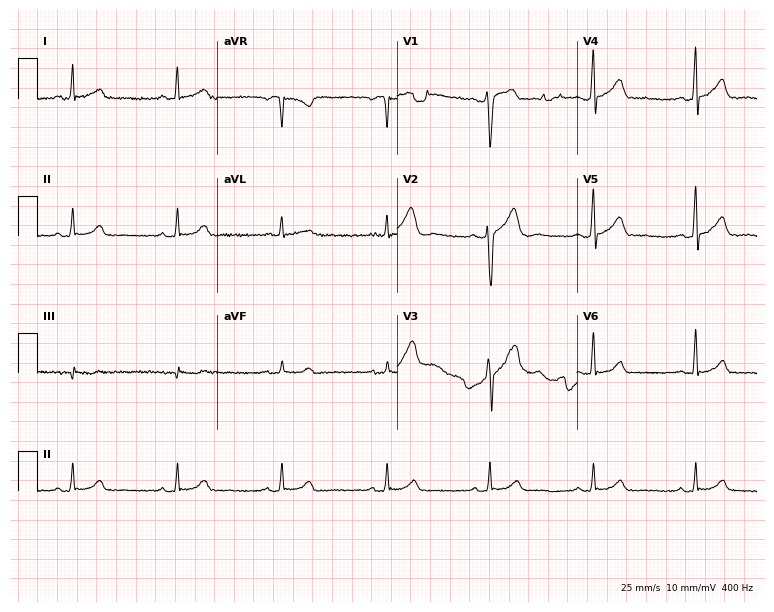
Resting 12-lead electrocardiogram. Patient: a 58-year-old male. None of these six findings is recorded: first-degree AV block, right bundle branch block, left bundle branch block, sinus bradycardia, atrial fibrillation, sinus tachycardia.